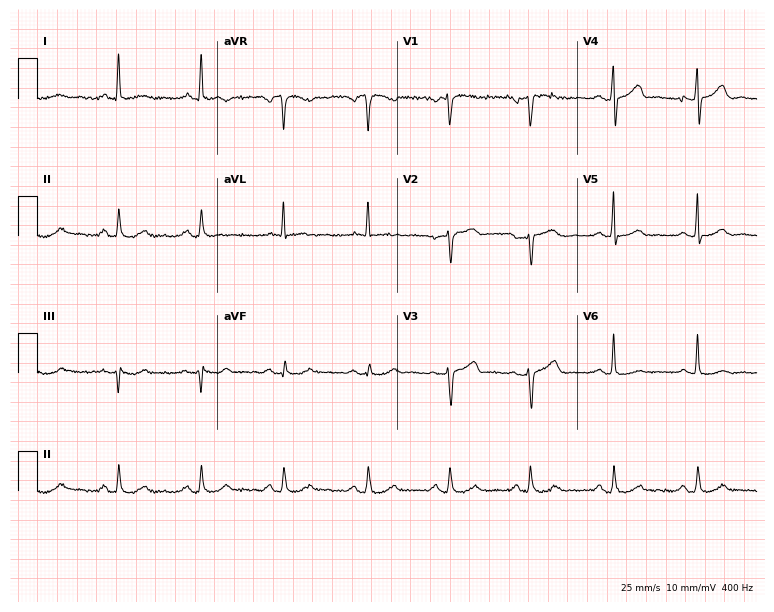
Electrocardiogram, a woman, 58 years old. Of the six screened findings (first-degree AV block, right bundle branch block (RBBB), left bundle branch block (LBBB), sinus bradycardia, atrial fibrillation (AF), sinus tachycardia), none is recorded.